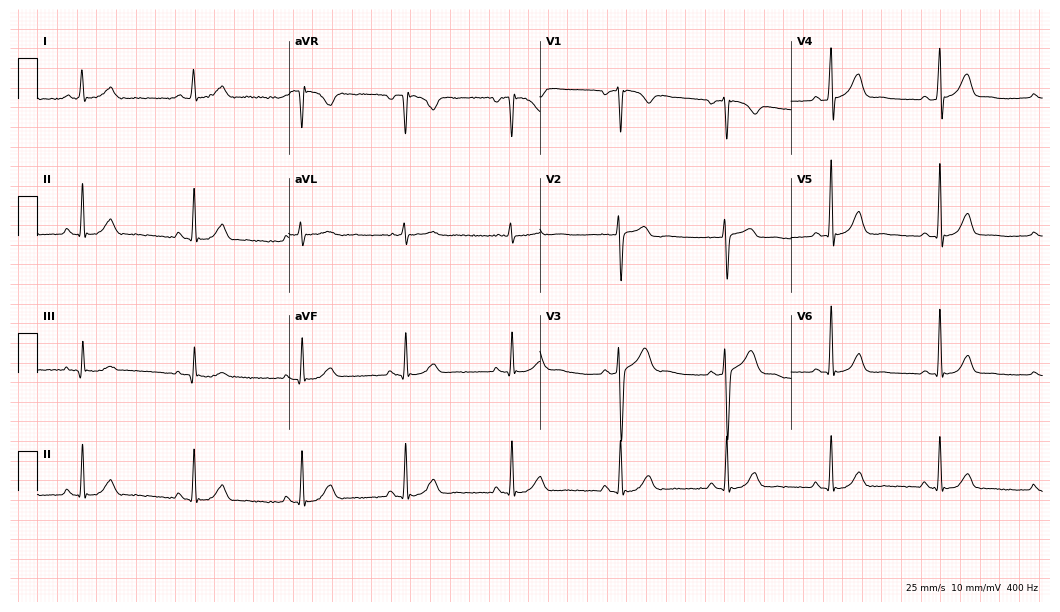
Standard 12-lead ECG recorded from a 43-year-old male patient. Read as a normal ECG.